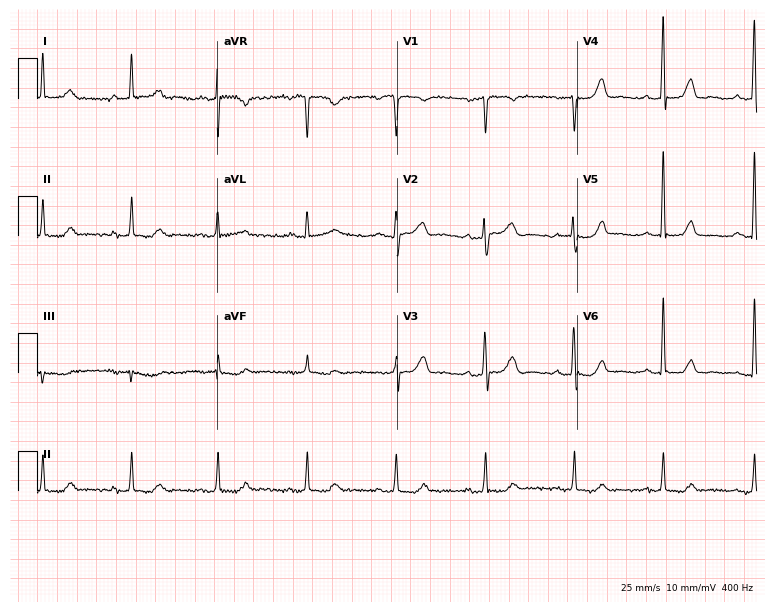
12-lead ECG from a 65-year-old female. Screened for six findings — first-degree AV block, right bundle branch block, left bundle branch block, sinus bradycardia, atrial fibrillation, sinus tachycardia — none is recorded.